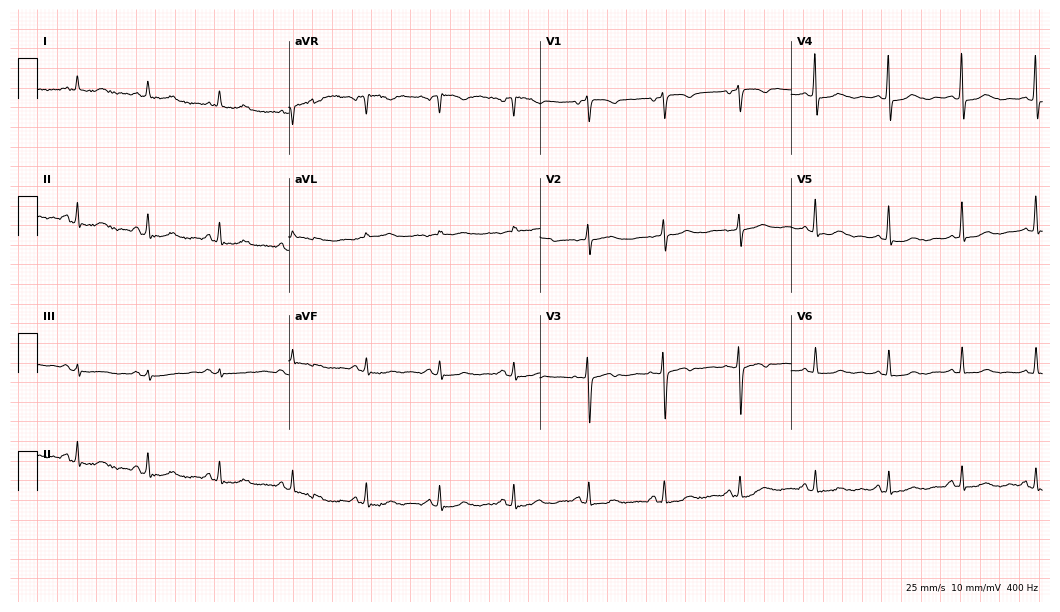
12-lead ECG from a 63-year-old woman. Labelled as a normal ECG.